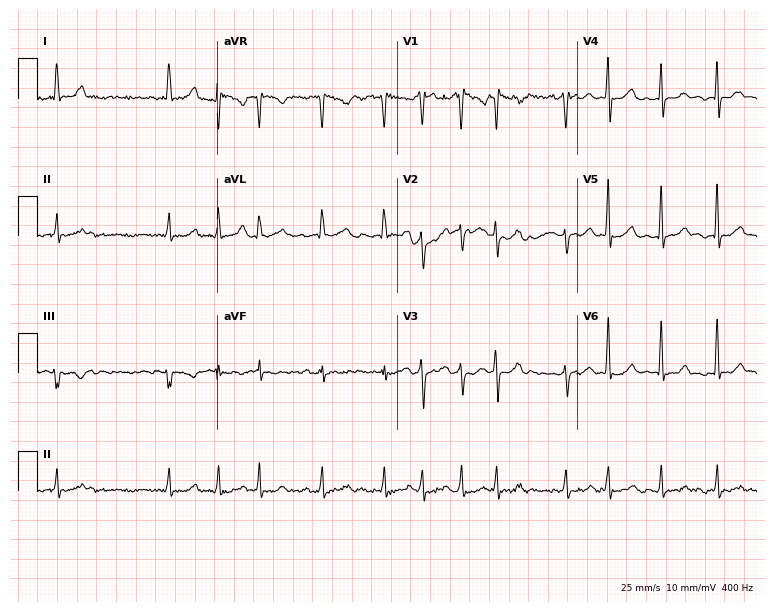
ECG — a 39-year-old female patient. Findings include atrial fibrillation.